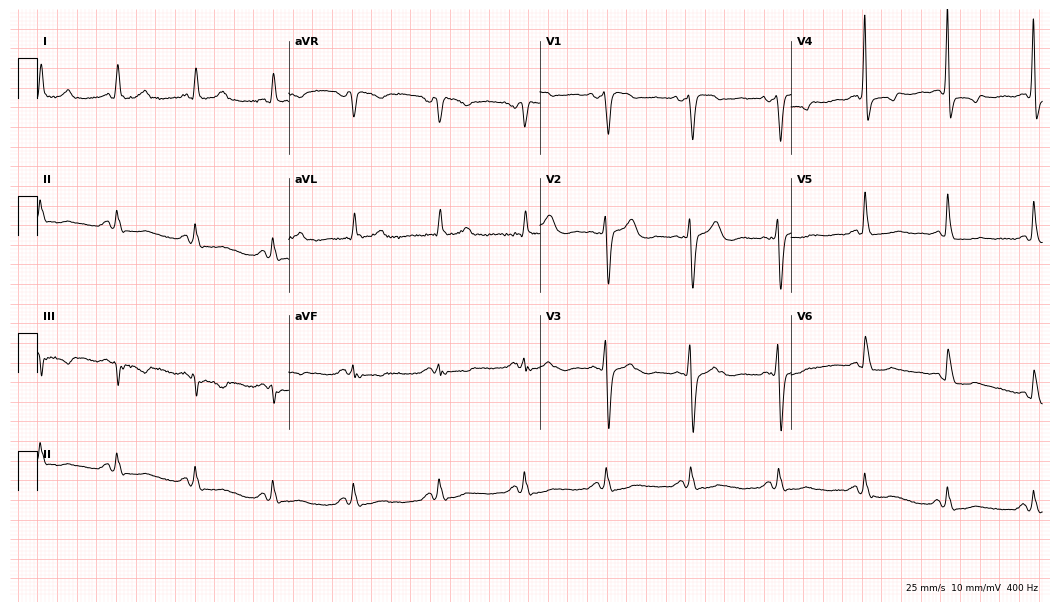
ECG — a 58-year-old woman. Screened for six findings — first-degree AV block, right bundle branch block, left bundle branch block, sinus bradycardia, atrial fibrillation, sinus tachycardia — none is recorded.